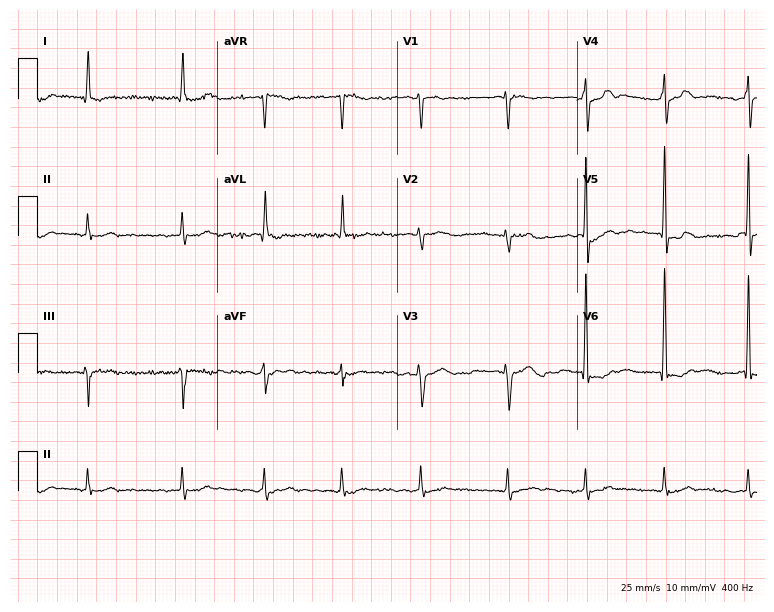
Electrocardiogram, a 66-year-old male patient. Interpretation includes atrial fibrillation (AF).